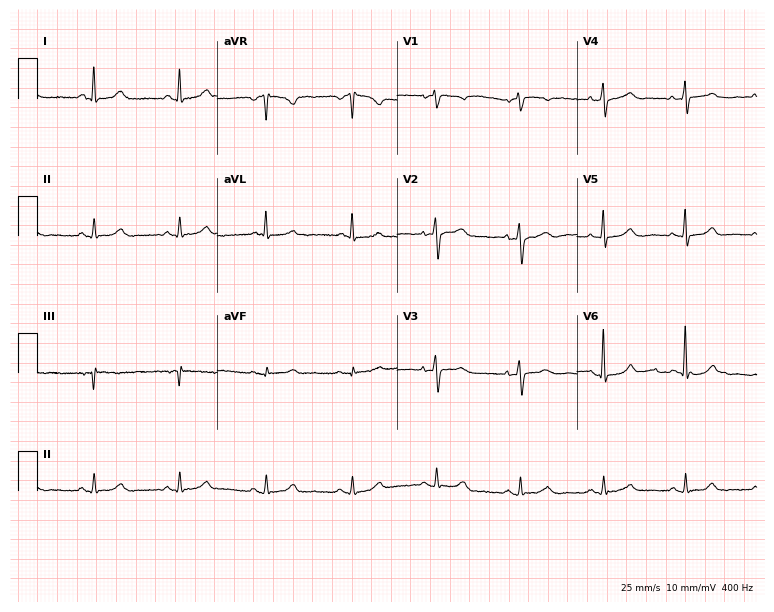
Resting 12-lead electrocardiogram. Patient: an 84-year-old female. Read as a normal ECG.